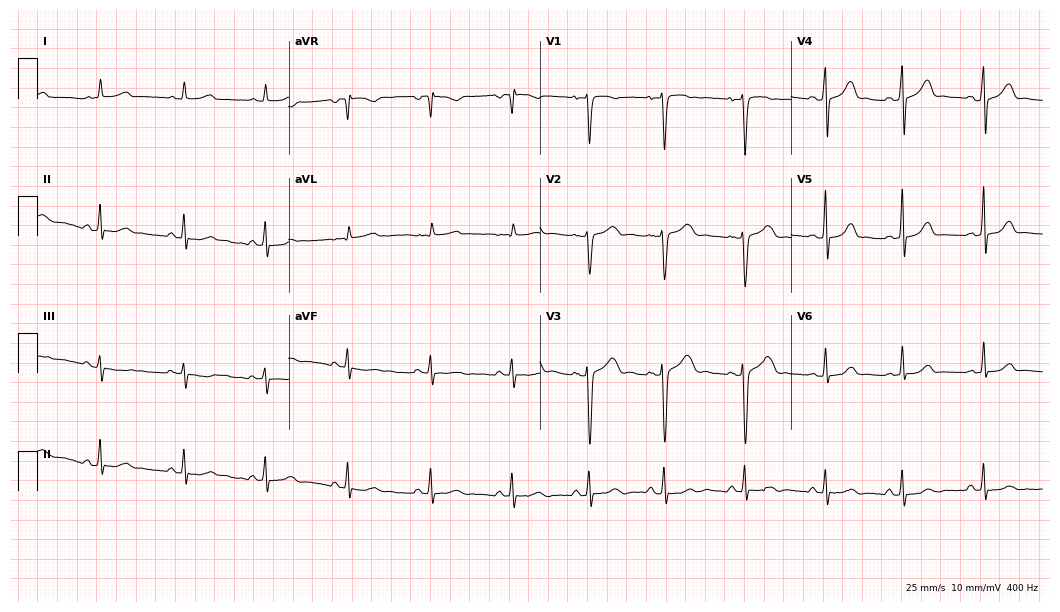
12-lead ECG from a female, 21 years old. Recorded interpretation: within normal limits.